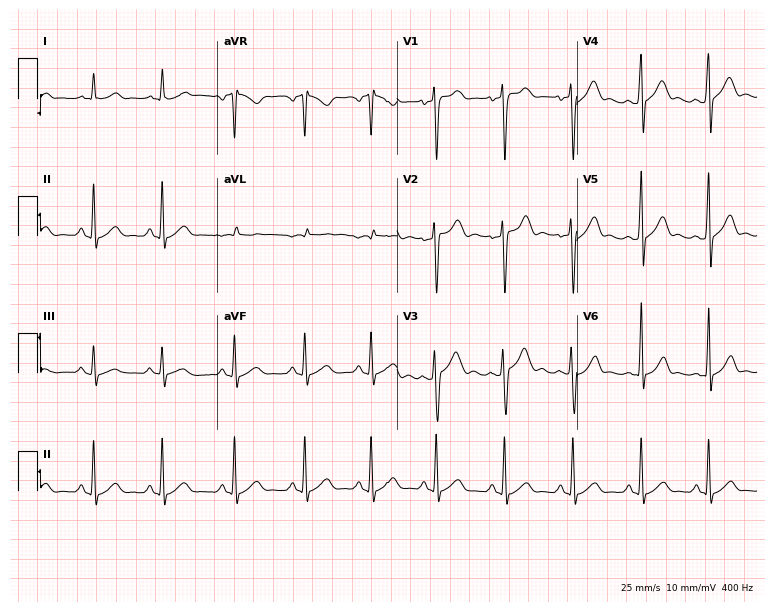
12-lead ECG (7.3-second recording at 400 Hz) from a 19-year-old male. Labelled as a normal ECG.